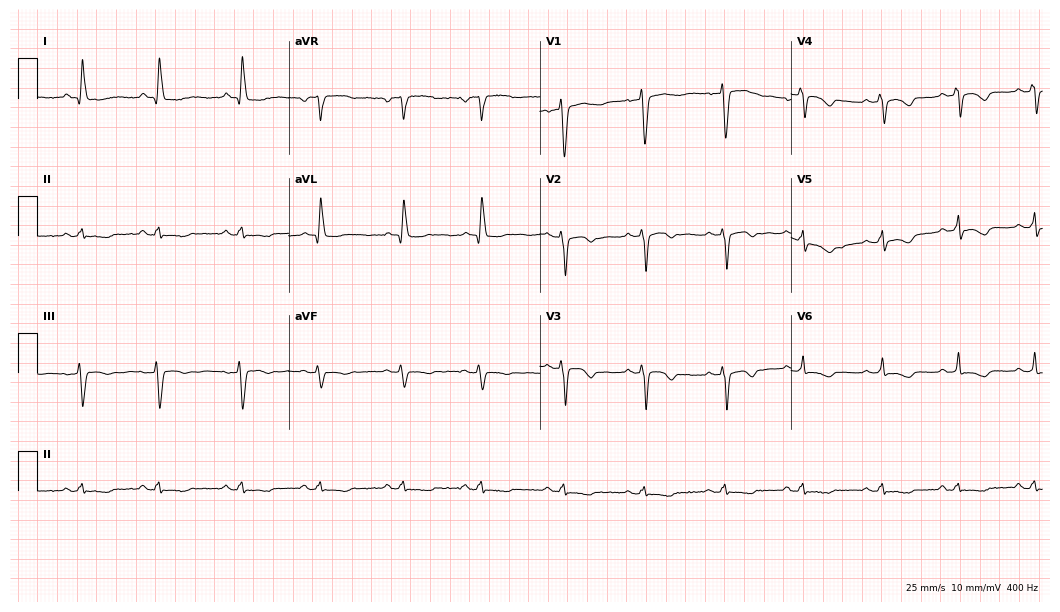
12-lead ECG from a 60-year-old woman (10.2-second recording at 400 Hz). No first-degree AV block, right bundle branch block, left bundle branch block, sinus bradycardia, atrial fibrillation or sinus tachycardia recorded for this tracing.